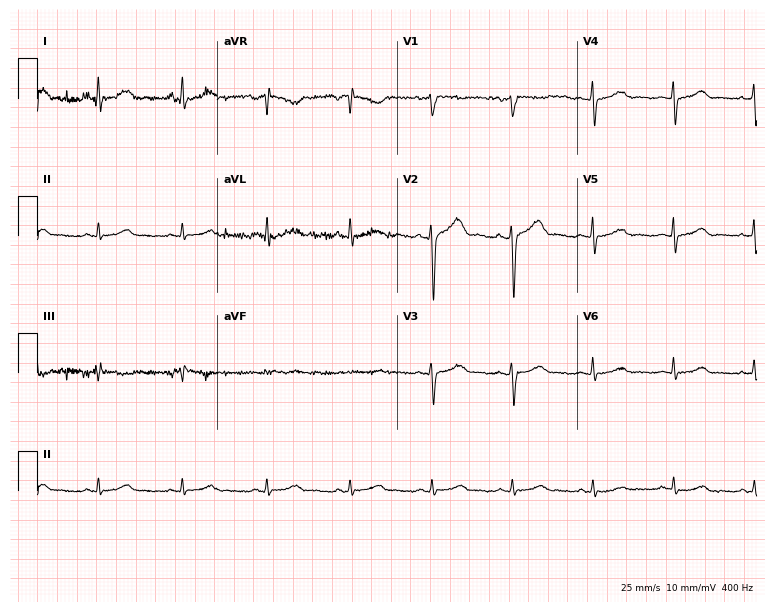
Electrocardiogram (7.3-second recording at 400 Hz), a female patient, 49 years old. Overall reading on record: normal ECG.